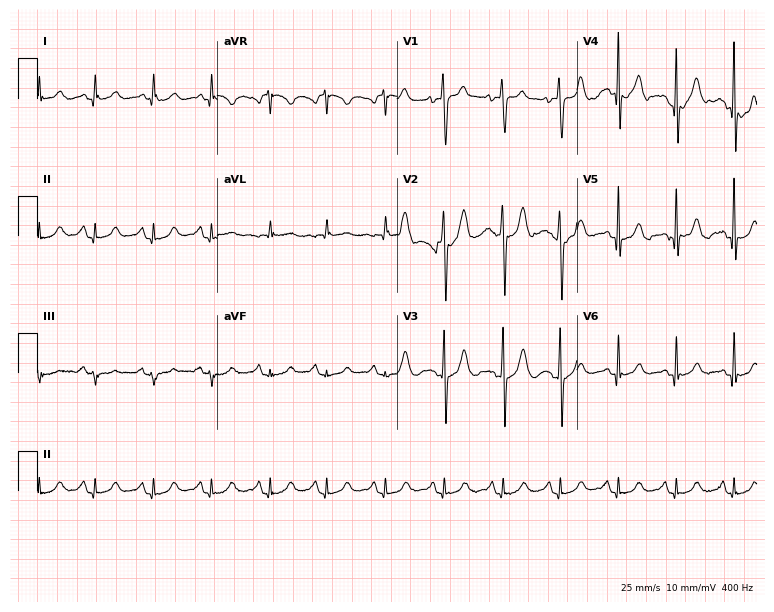
Resting 12-lead electrocardiogram. Patient: a woman, 60 years old. The tracing shows sinus tachycardia (a sinus rate of 100 beats per minute or more).